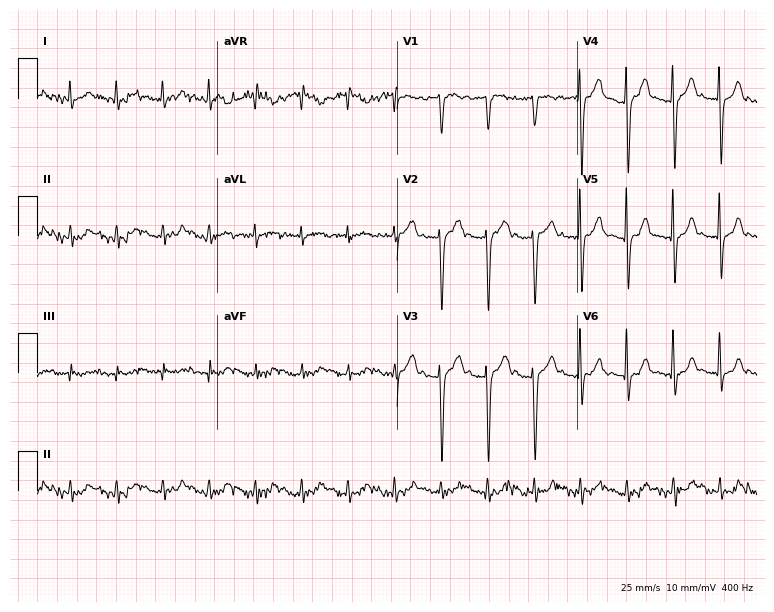
12-lead ECG (7.3-second recording at 400 Hz) from a man, 69 years old. Screened for six findings — first-degree AV block, right bundle branch block, left bundle branch block, sinus bradycardia, atrial fibrillation, sinus tachycardia — none is recorded. Only these six findings were labelled.